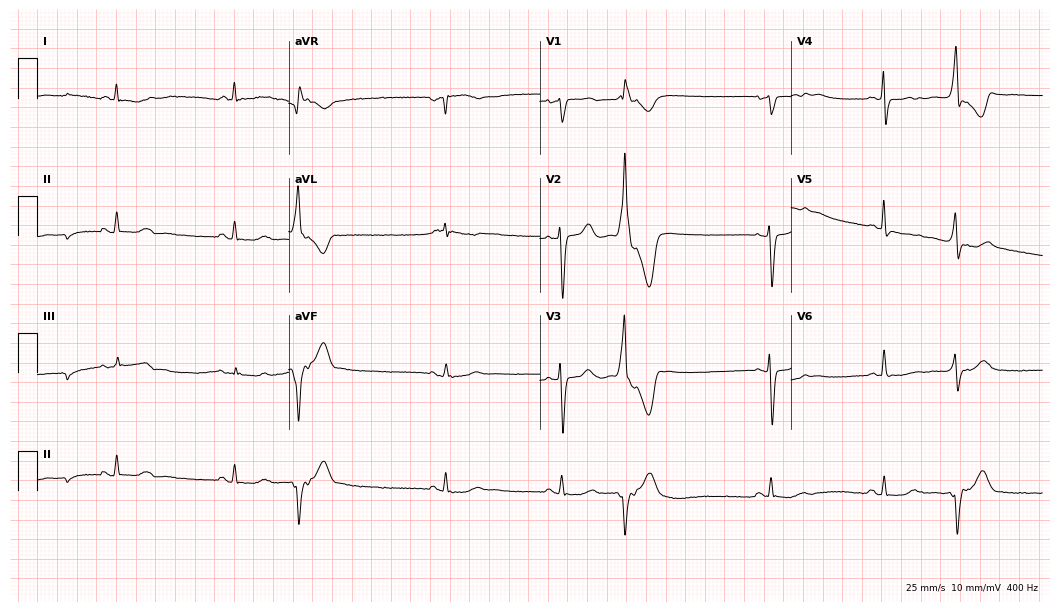
Electrocardiogram (10.2-second recording at 400 Hz), a 76-year-old male. Of the six screened findings (first-degree AV block, right bundle branch block, left bundle branch block, sinus bradycardia, atrial fibrillation, sinus tachycardia), none is recorded. Findings outside these six are not listed.